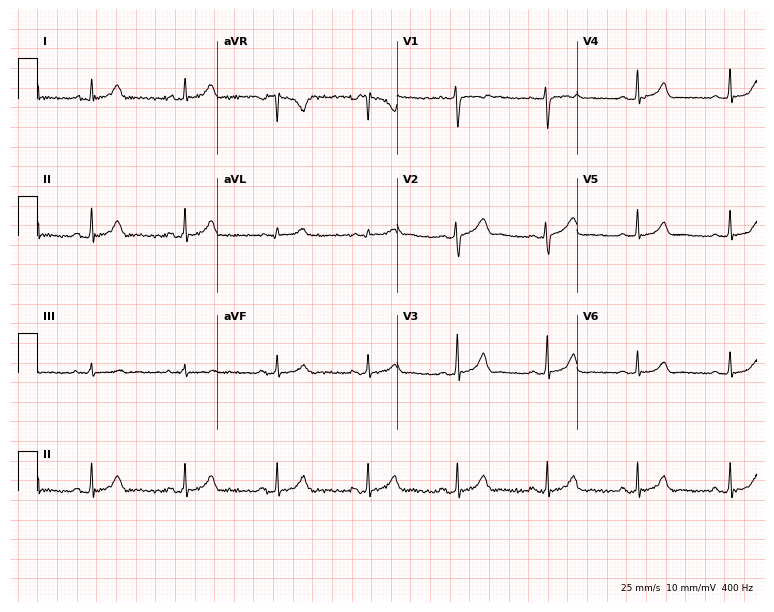
Standard 12-lead ECG recorded from a female patient, 30 years old. Read as a normal ECG.